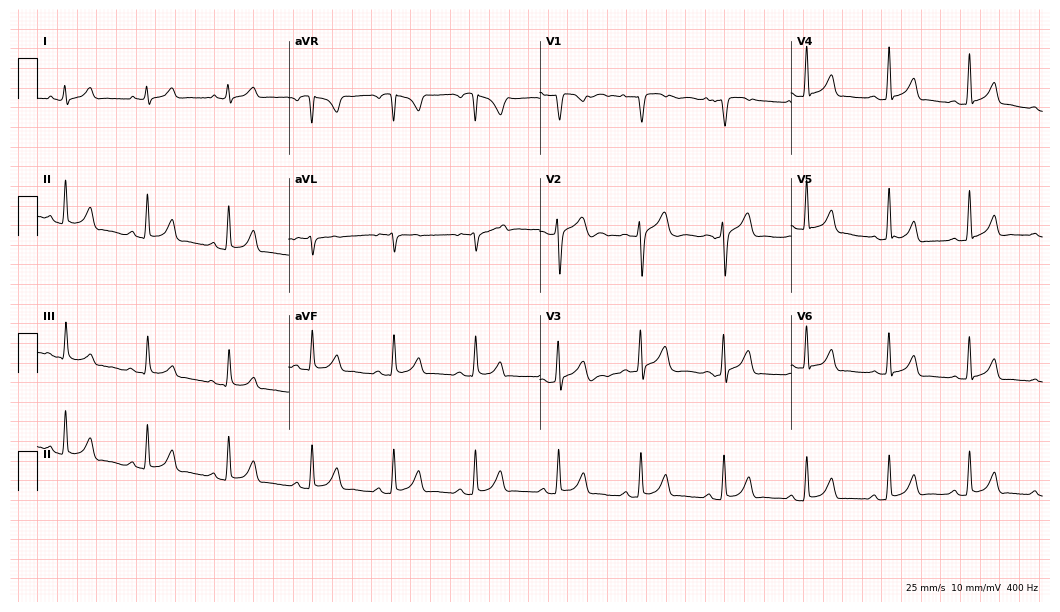
Electrocardiogram (10.2-second recording at 400 Hz), a male patient, 44 years old. Overall reading on record: normal ECG.